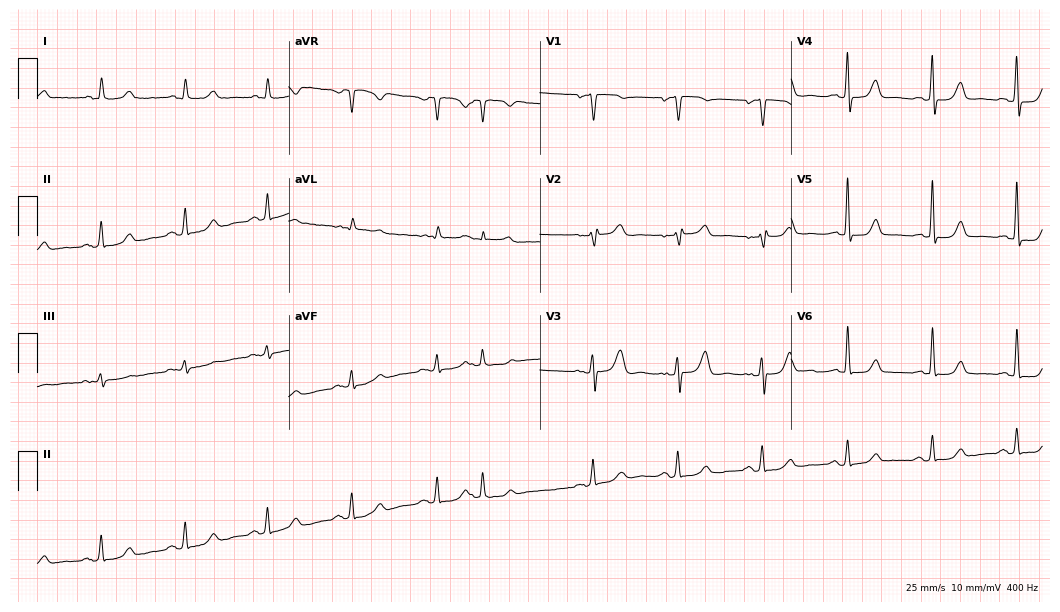
Standard 12-lead ECG recorded from a 73-year-old female patient. None of these six findings is recorded: first-degree AV block, right bundle branch block (RBBB), left bundle branch block (LBBB), sinus bradycardia, atrial fibrillation (AF), sinus tachycardia. Other findings, if any, are not listed.